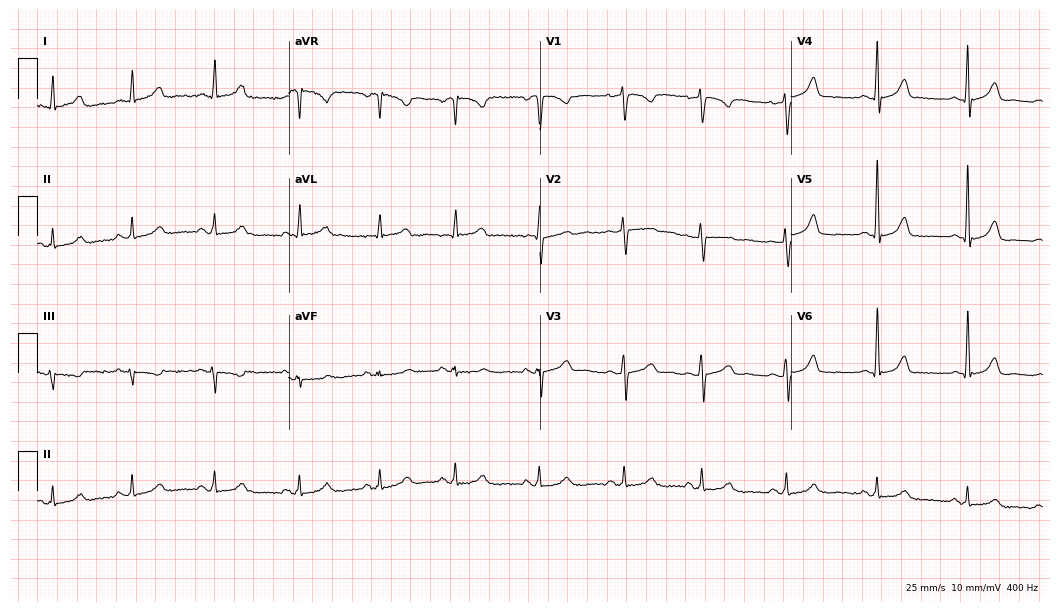
ECG — a female, 53 years old. Labelled as a normal ECG.